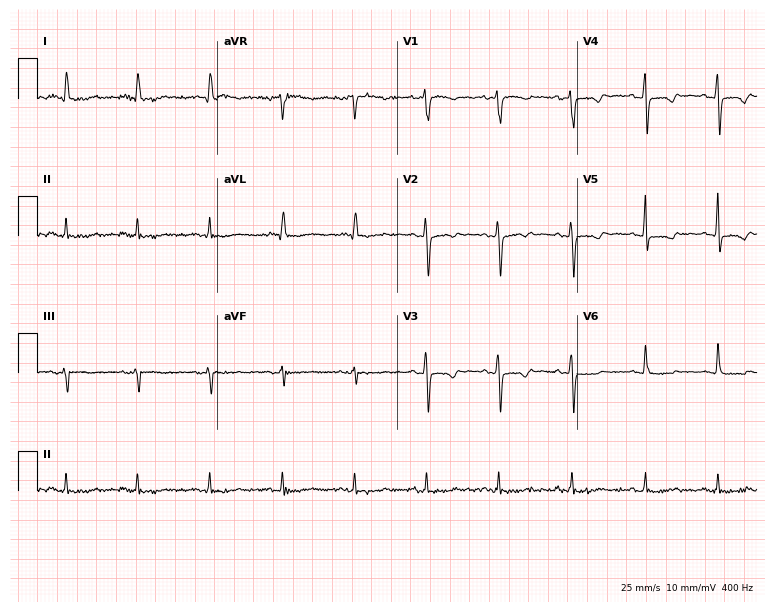
12-lead ECG (7.3-second recording at 400 Hz) from a female patient, 61 years old. Screened for six findings — first-degree AV block, right bundle branch block (RBBB), left bundle branch block (LBBB), sinus bradycardia, atrial fibrillation (AF), sinus tachycardia — none is recorded.